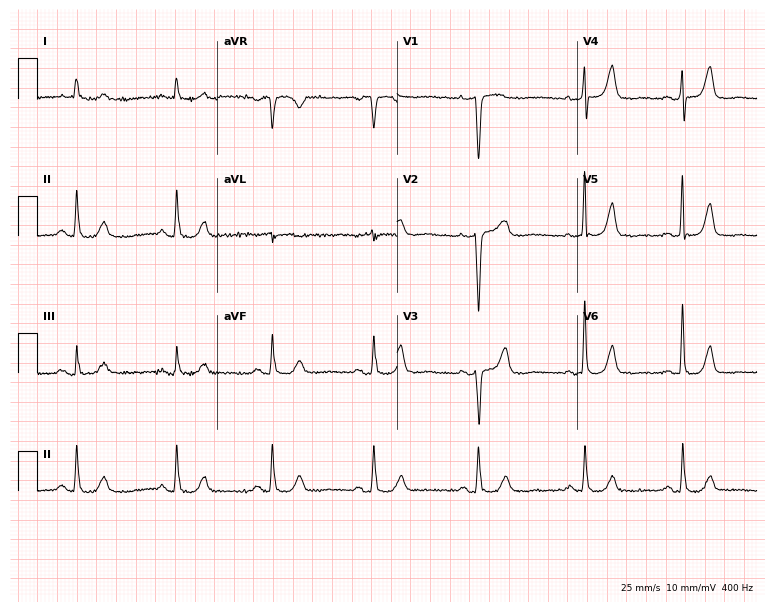
12-lead ECG from an 83-year-old female patient. Labelled as a normal ECG.